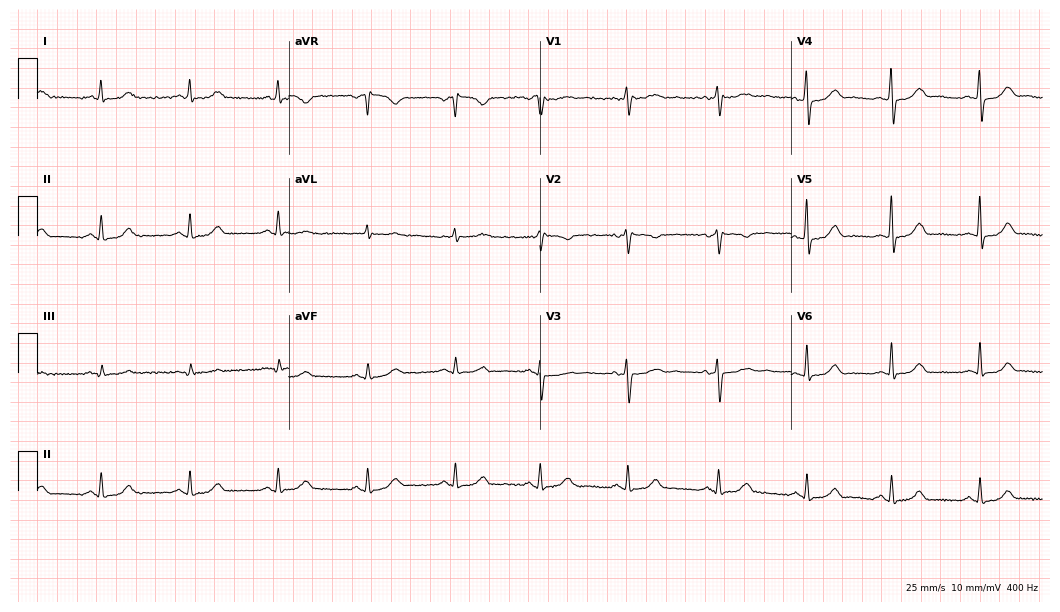
Electrocardiogram, a 51-year-old woman. Overall reading on record: normal ECG.